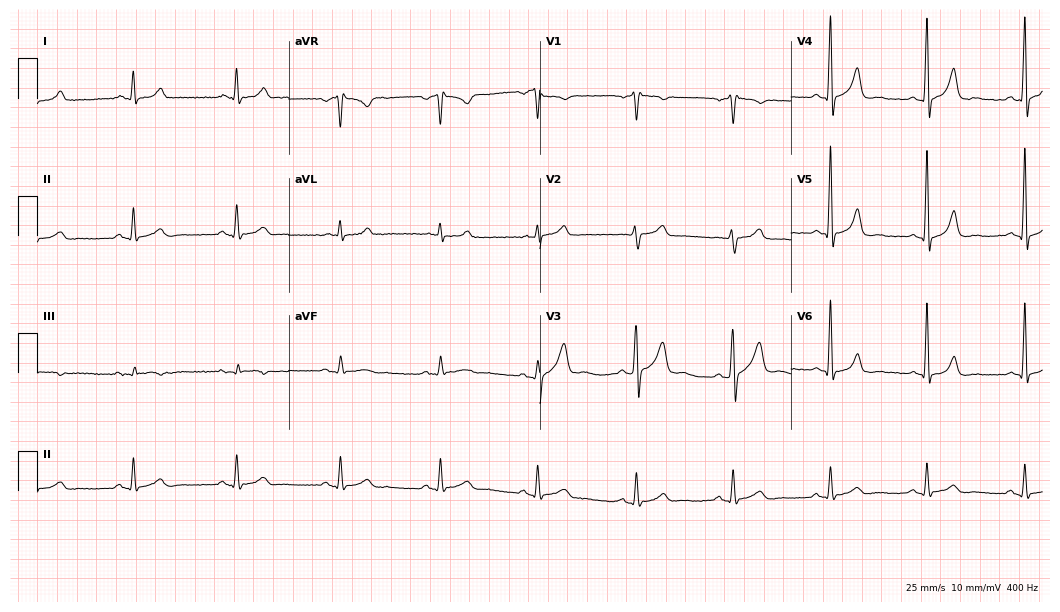
Resting 12-lead electrocardiogram (10.2-second recording at 400 Hz). Patient: a male, 52 years old. Read as a normal ECG.